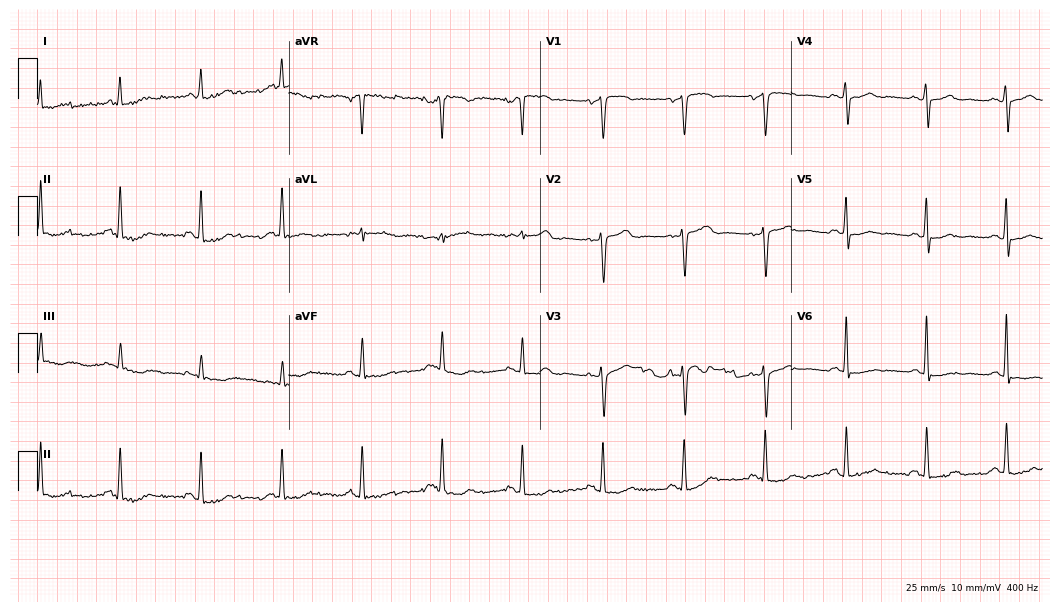
12-lead ECG from a 62-year-old female. Screened for six findings — first-degree AV block, right bundle branch block, left bundle branch block, sinus bradycardia, atrial fibrillation, sinus tachycardia — none is recorded.